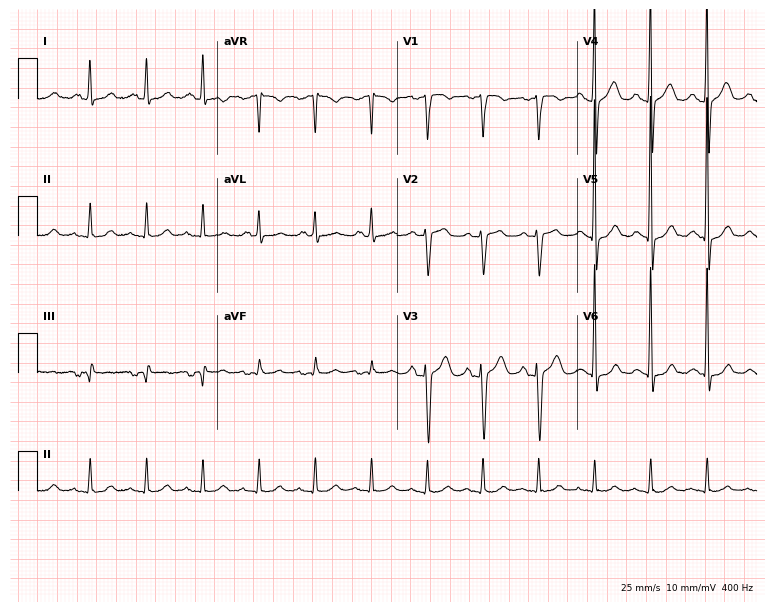
ECG (7.3-second recording at 400 Hz) — a male, 65 years old. Findings include sinus tachycardia (a sinus rate of 100 beats per minute or more).